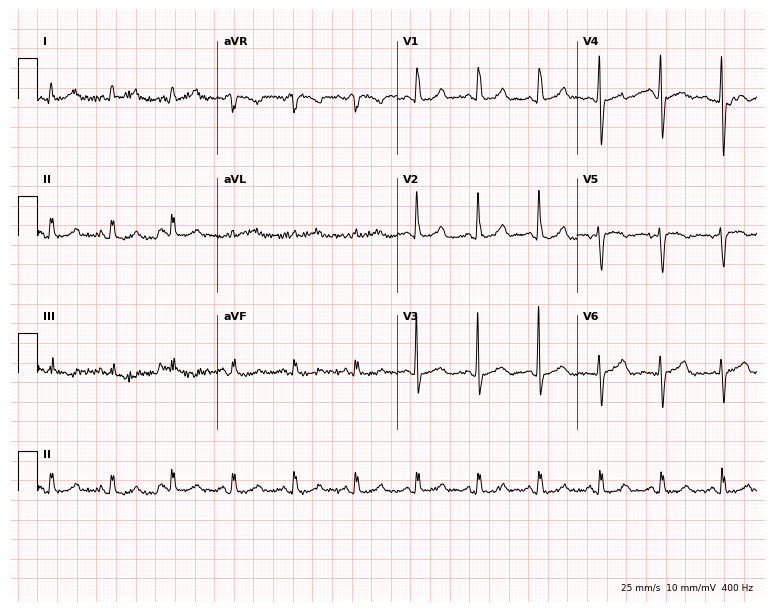
ECG (7.3-second recording at 400 Hz) — a female, 53 years old. Screened for six findings — first-degree AV block, right bundle branch block, left bundle branch block, sinus bradycardia, atrial fibrillation, sinus tachycardia — none is recorded.